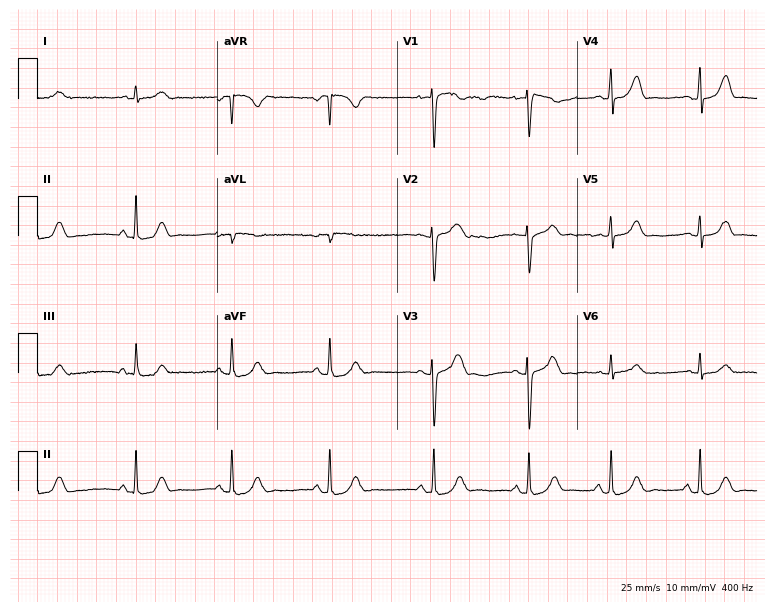
12-lead ECG (7.3-second recording at 400 Hz) from a female patient, 31 years old. Labelled as a normal ECG.